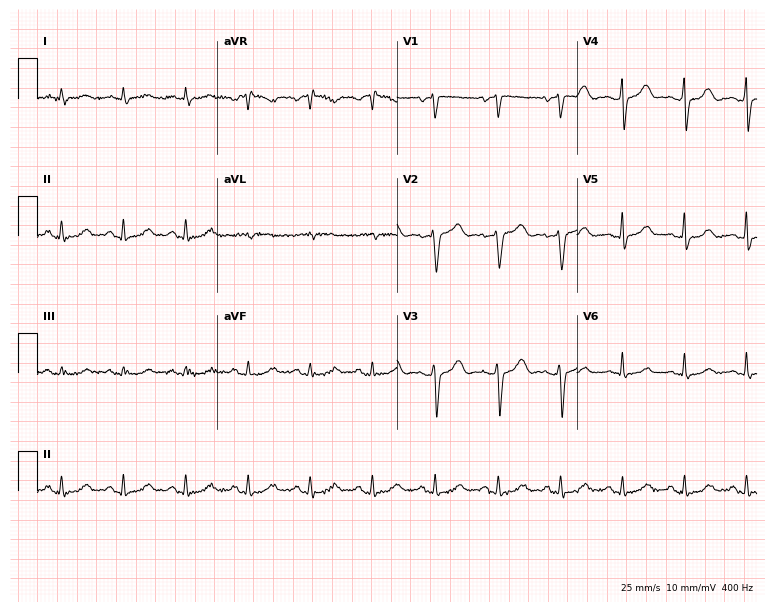
Standard 12-lead ECG recorded from a 68-year-old male. Read as a normal ECG.